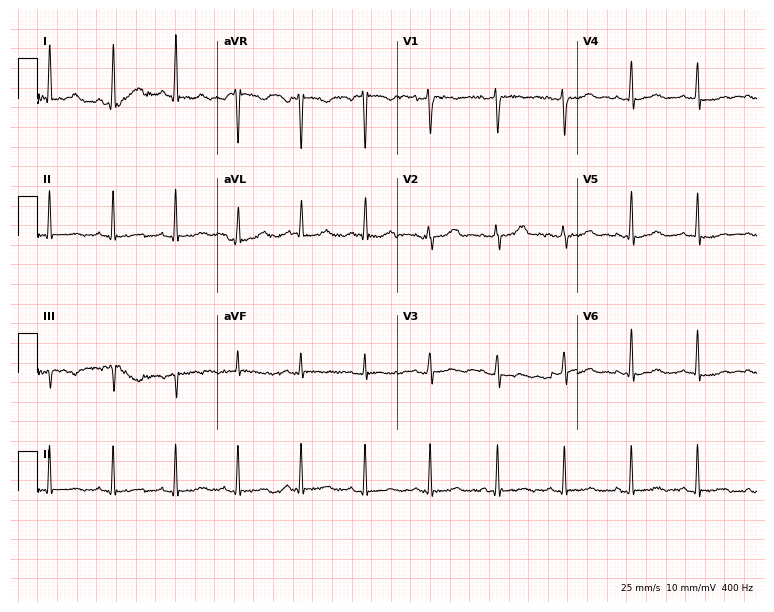
12-lead ECG (7.3-second recording at 400 Hz) from a 35-year-old woman. Screened for six findings — first-degree AV block, right bundle branch block, left bundle branch block, sinus bradycardia, atrial fibrillation, sinus tachycardia — none is recorded. Other findings, if any, are not listed.